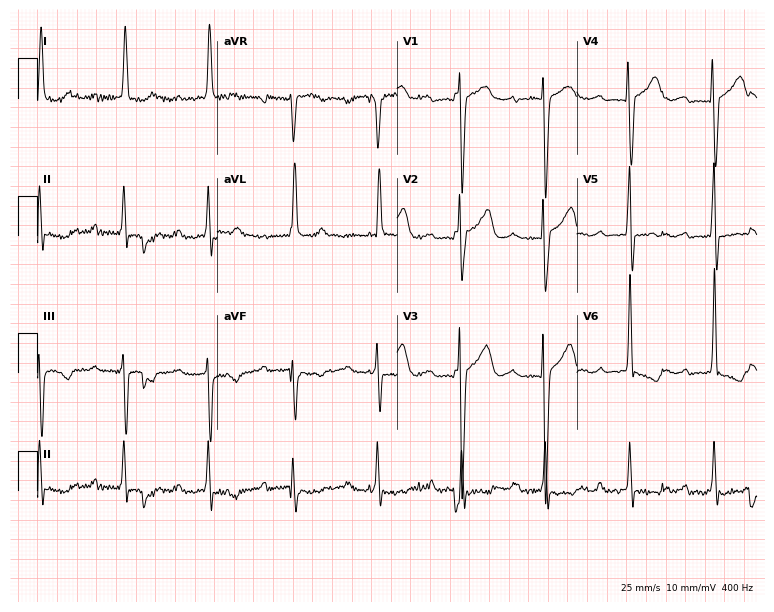
12-lead ECG from a man, 78 years old. Screened for six findings — first-degree AV block, right bundle branch block, left bundle branch block, sinus bradycardia, atrial fibrillation, sinus tachycardia — none is recorded. Other findings, if any, are not listed.